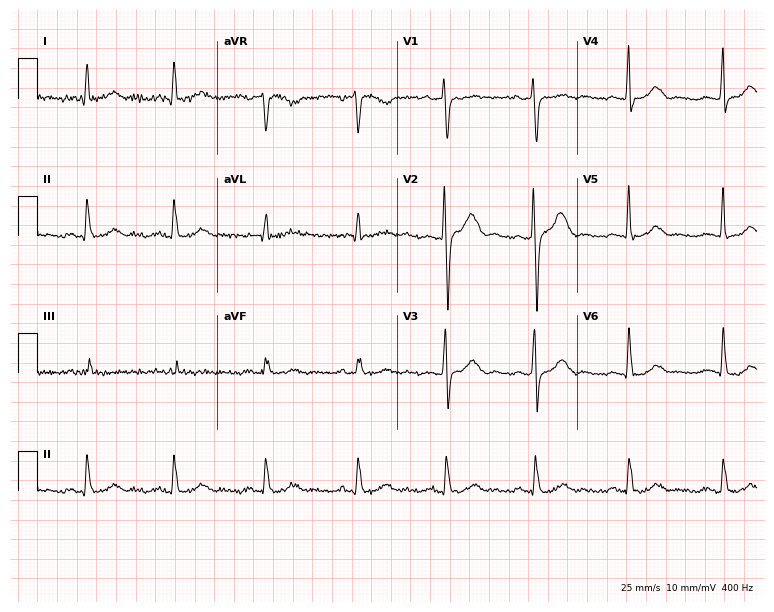
12-lead ECG from a woman, 53 years old. Recorded interpretation: within normal limits.